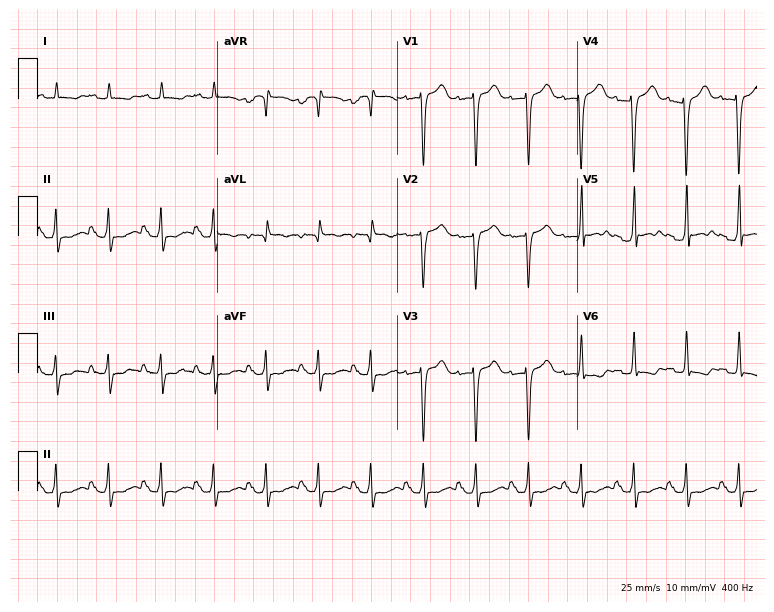
Electrocardiogram, an 85-year-old female patient. Of the six screened findings (first-degree AV block, right bundle branch block, left bundle branch block, sinus bradycardia, atrial fibrillation, sinus tachycardia), none is recorded.